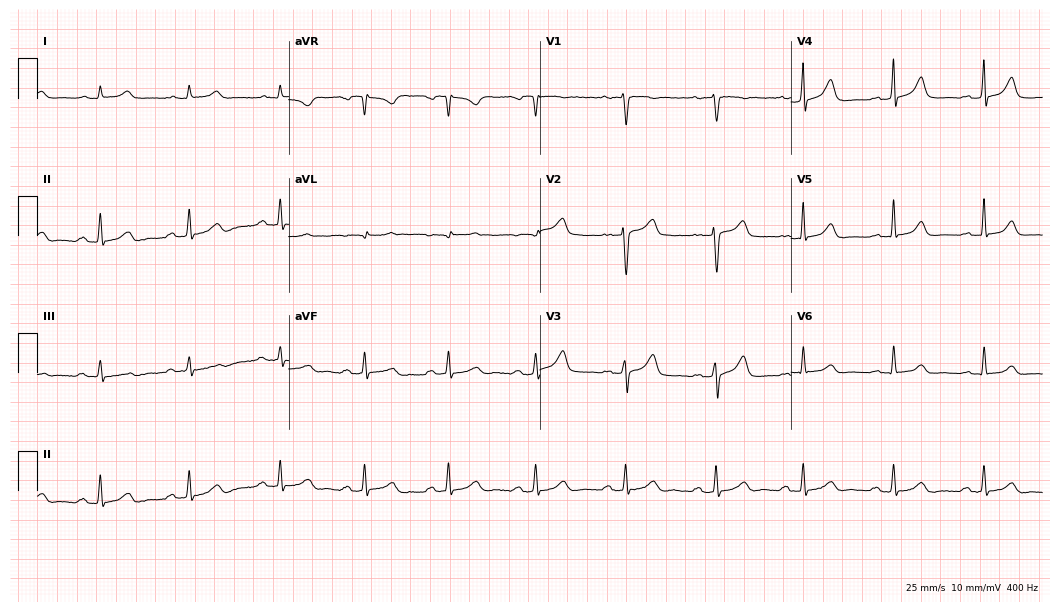
Standard 12-lead ECG recorded from a 45-year-old female patient (10.2-second recording at 400 Hz). None of these six findings is recorded: first-degree AV block, right bundle branch block, left bundle branch block, sinus bradycardia, atrial fibrillation, sinus tachycardia. Other findings, if any, are not listed.